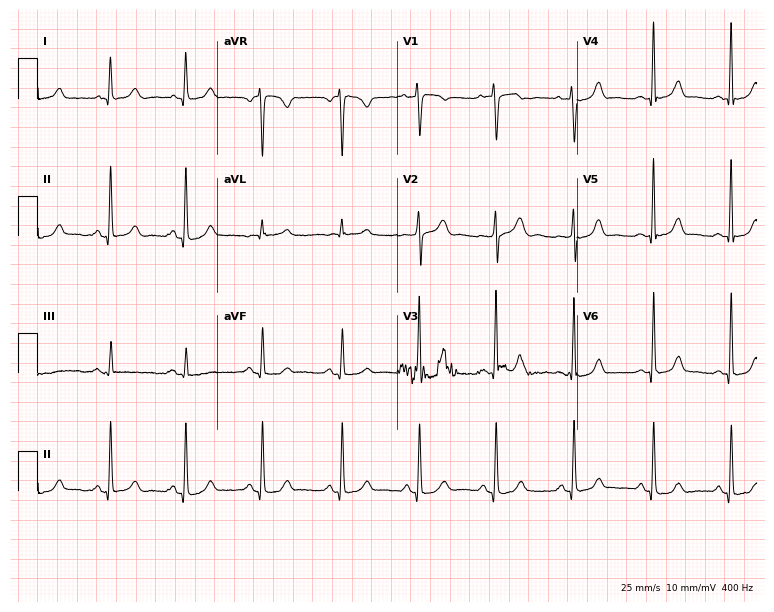
Electrocardiogram, a 51-year-old female patient. Of the six screened findings (first-degree AV block, right bundle branch block, left bundle branch block, sinus bradycardia, atrial fibrillation, sinus tachycardia), none is recorded. Only these six findings were labelled.